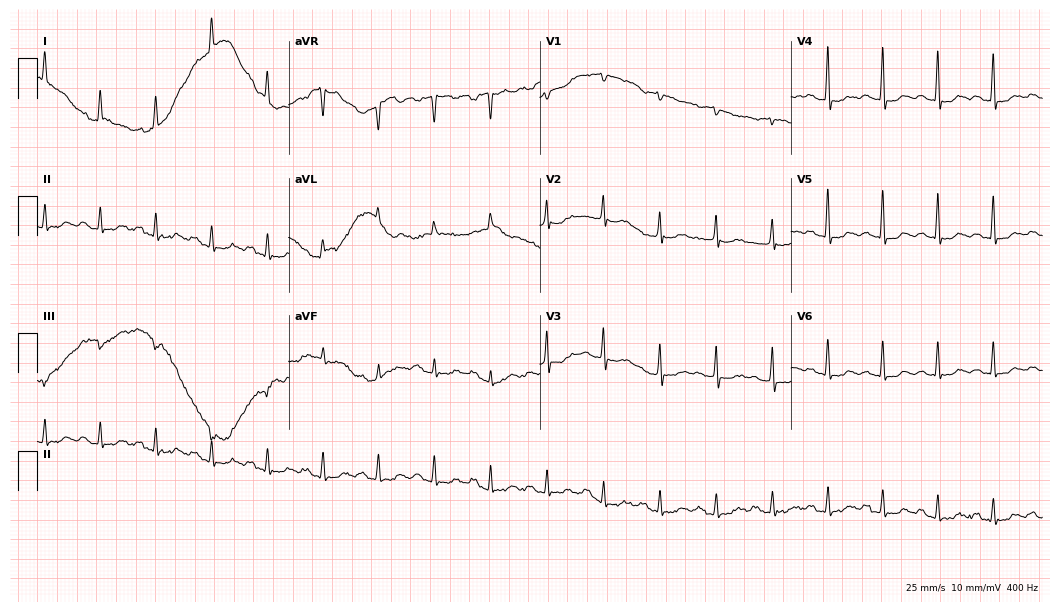
ECG (10.2-second recording at 400 Hz) — a 79-year-old woman. Findings include sinus tachycardia (a sinus rate of 100 beats per minute or more).